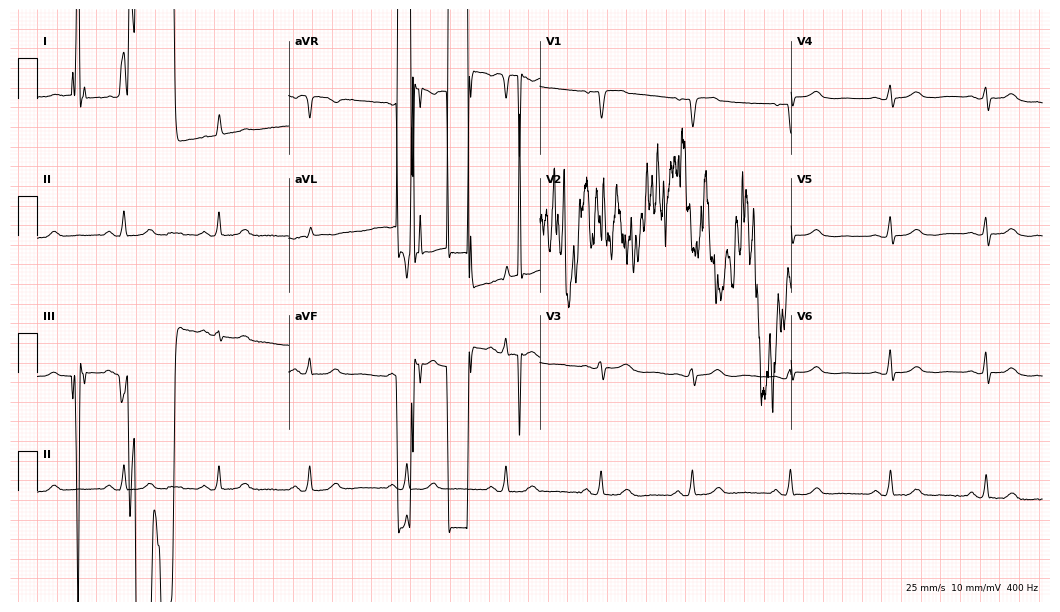
12-lead ECG from an 85-year-old female. Screened for six findings — first-degree AV block, right bundle branch block, left bundle branch block, sinus bradycardia, atrial fibrillation, sinus tachycardia — none is recorded.